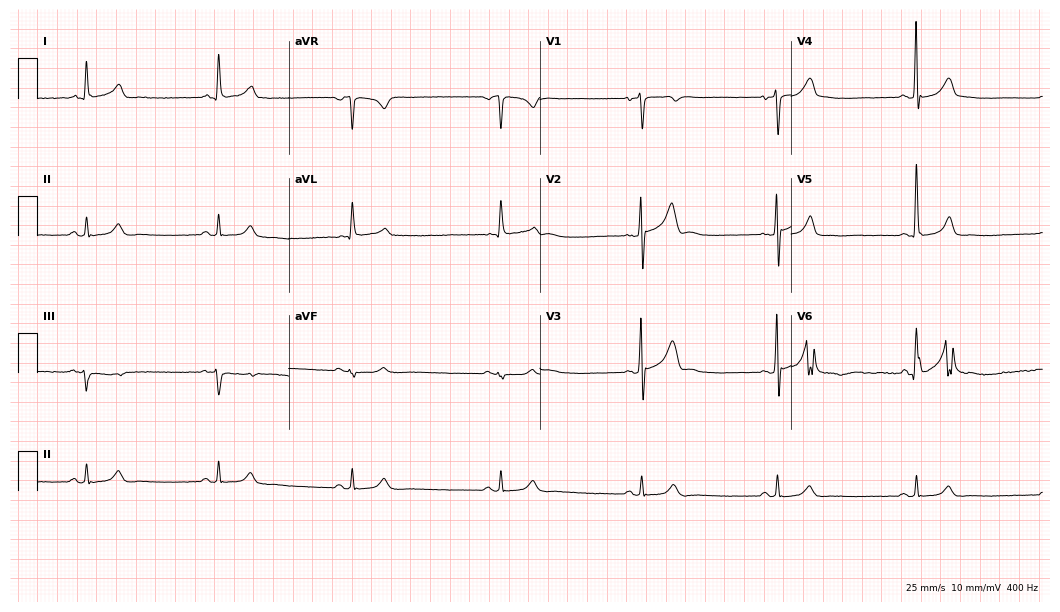
Standard 12-lead ECG recorded from a male patient, 61 years old. The tracing shows sinus bradycardia (a sinus rate of 50 beats per minute or less).